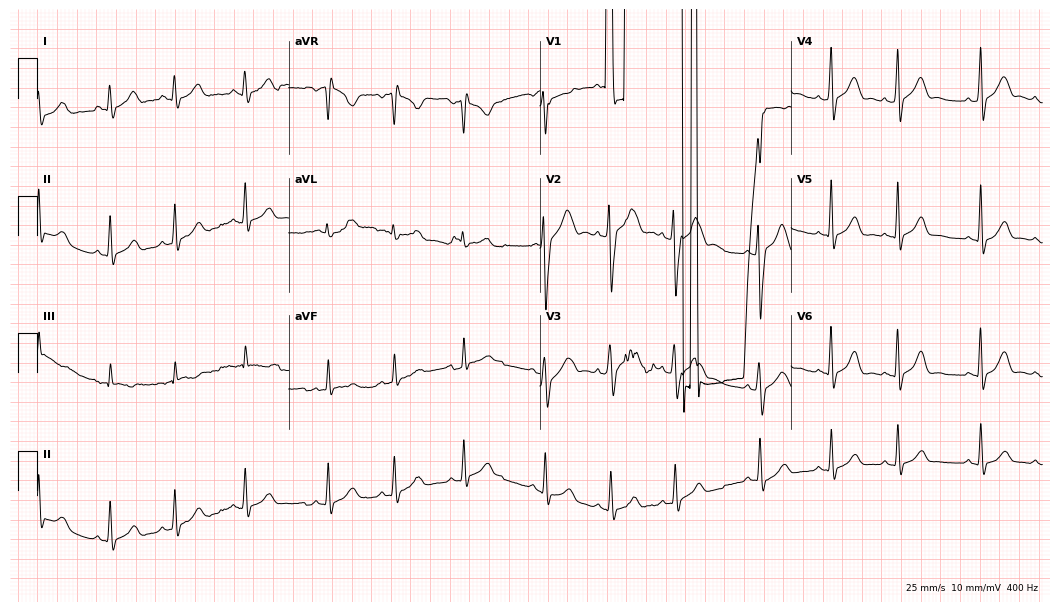
Standard 12-lead ECG recorded from a male, 18 years old. None of these six findings is recorded: first-degree AV block, right bundle branch block, left bundle branch block, sinus bradycardia, atrial fibrillation, sinus tachycardia.